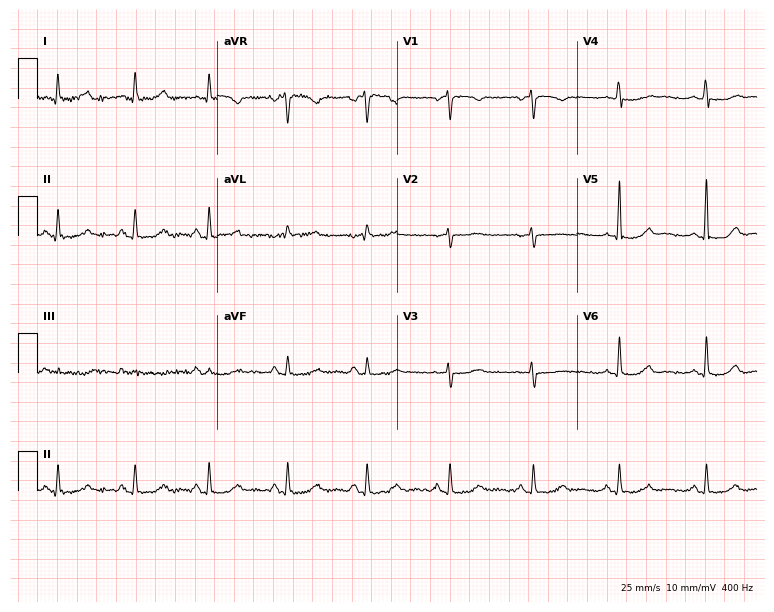
Electrocardiogram, a 58-year-old female patient. Of the six screened findings (first-degree AV block, right bundle branch block, left bundle branch block, sinus bradycardia, atrial fibrillation, sinus tachycardia), none is recorded. Only these six findings were labelled.